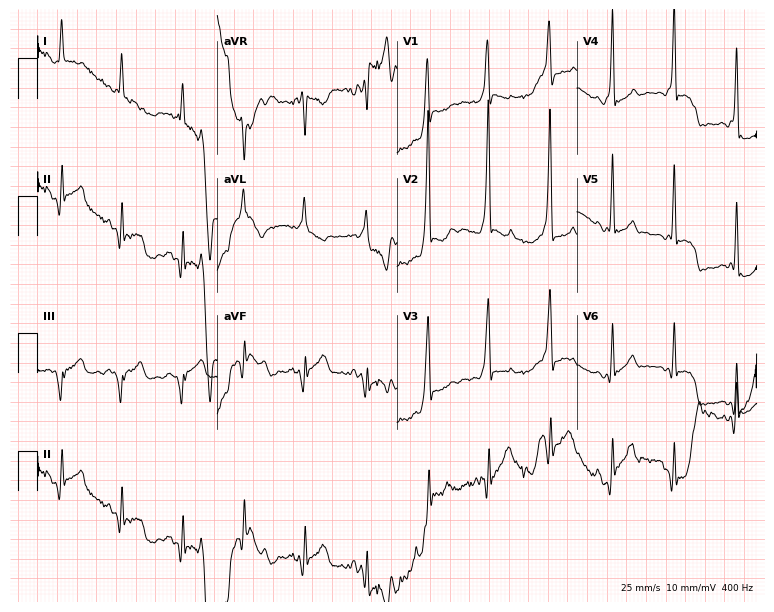
Electrocardiogram (7.3-second recording at 400 Hz), a 23-year-old male. Of the six screened findings (first-degree AV block, right bundle branch block, left bundle branch block, sinus bradycardia, atrial fibrillation, sinus tachycardia), none is recorded.